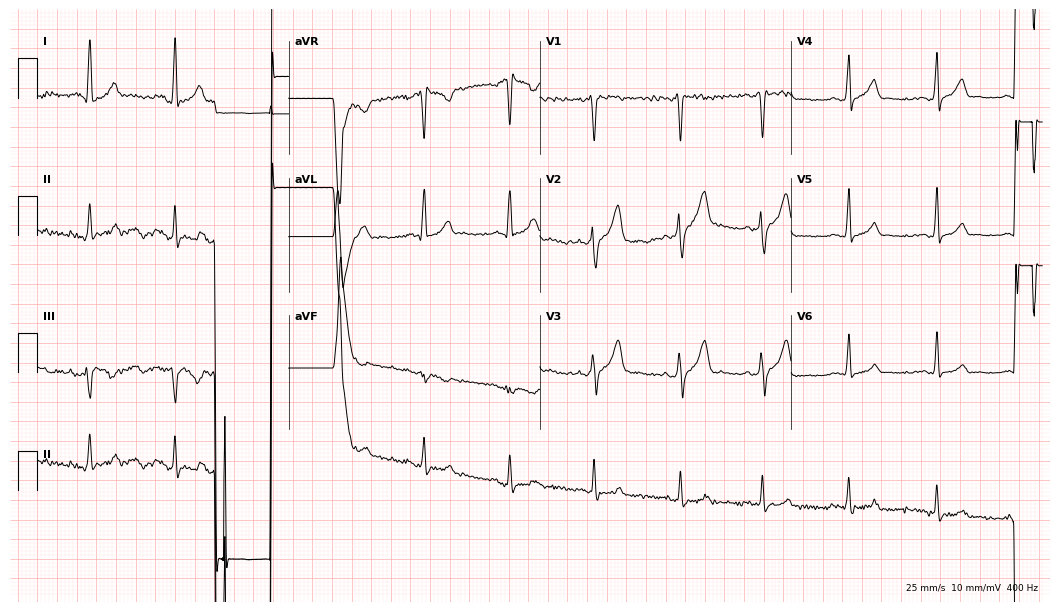
Resting 12-lead electrocardiogram (10.2-second recording at 400 Hz). Patient: a male, 25 years old. Read as a normal ECG.